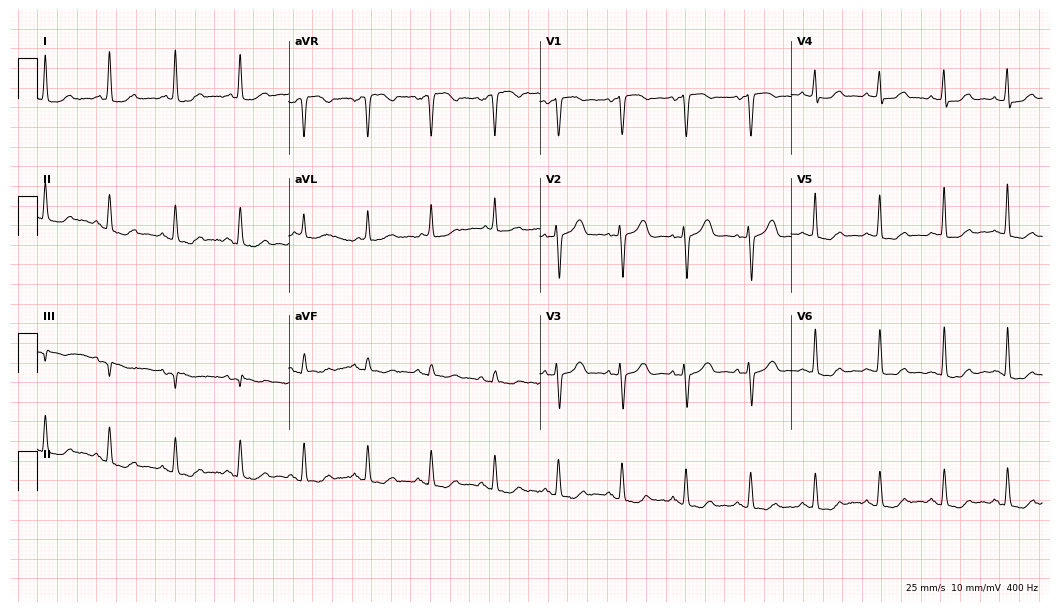
12-lead ECG from a female, 76 years old. Screened for six findings — first-degree AV block, right bundle branch block, left bundle branch block, sinus bradycardia, atrial fibrillation, sinus tachycardia — none is recorded.